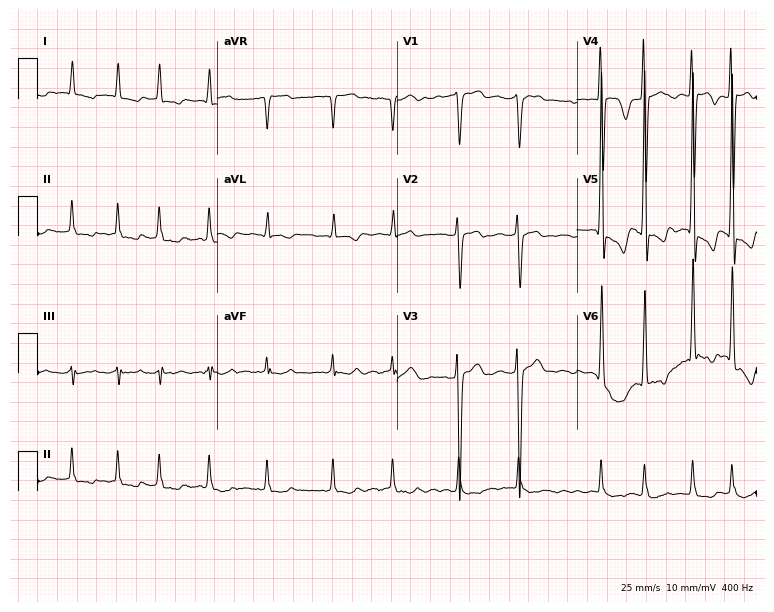
12-lead ECG from a man, 78 years old. Shows atrial fibrillation.